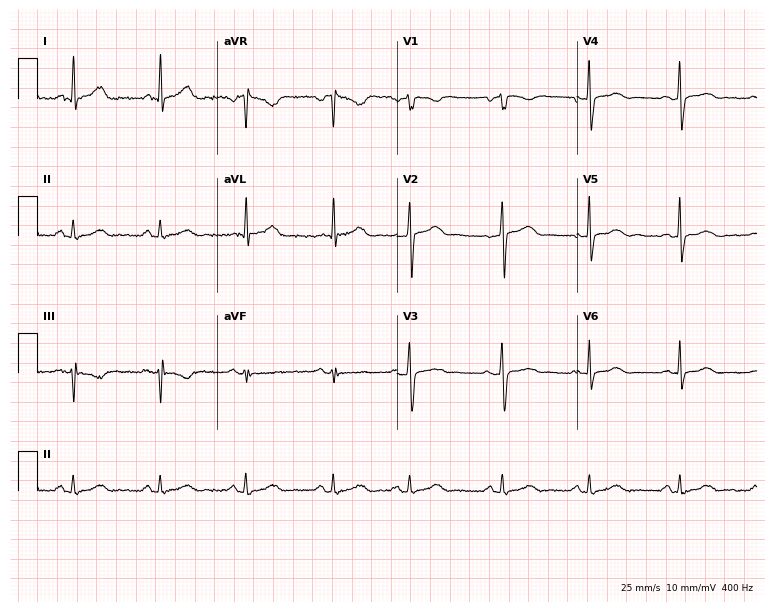
Standard 12-lead ECG recorded from a female, 35 years old. Read as a normal ECG.